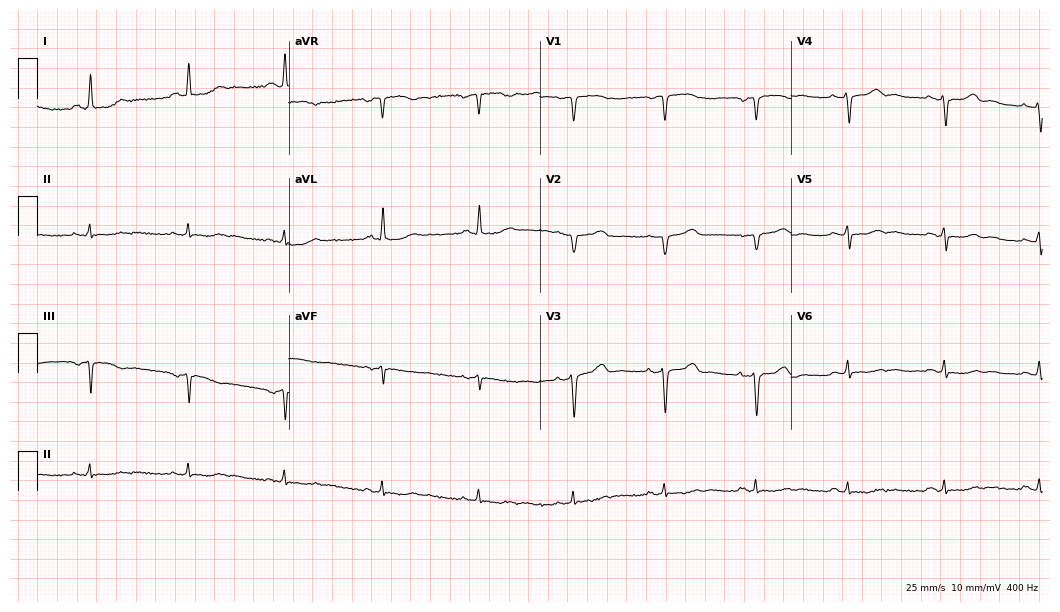
12-lead ECG from a 51-year-old woman. No first-degree AV block, right bundle branch block, left bundle branch block, sinus bradycardia, atrial fibrillation or sinus tachycardia recorded for this tracing. Only these six findings were labelled.